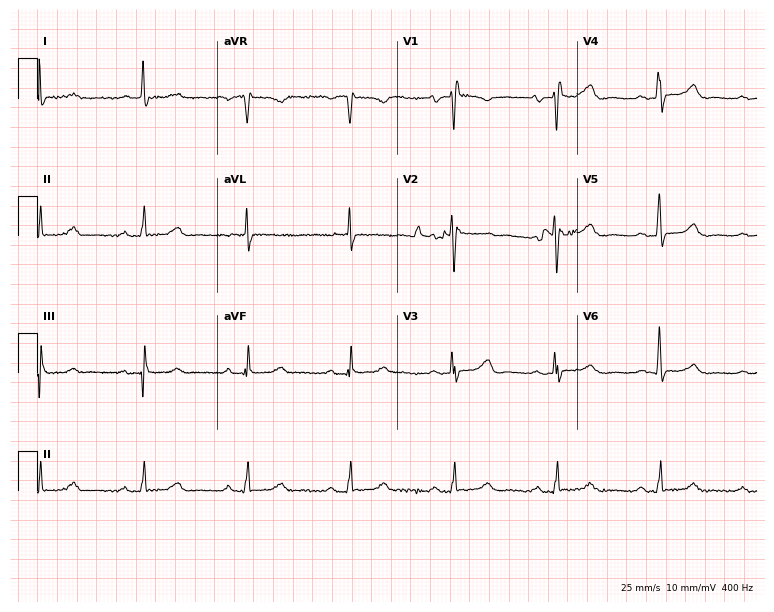
Resting 12-lead electrocardiogram. Patient: an 85-year-old female. The tracing shows first-degree AV block.